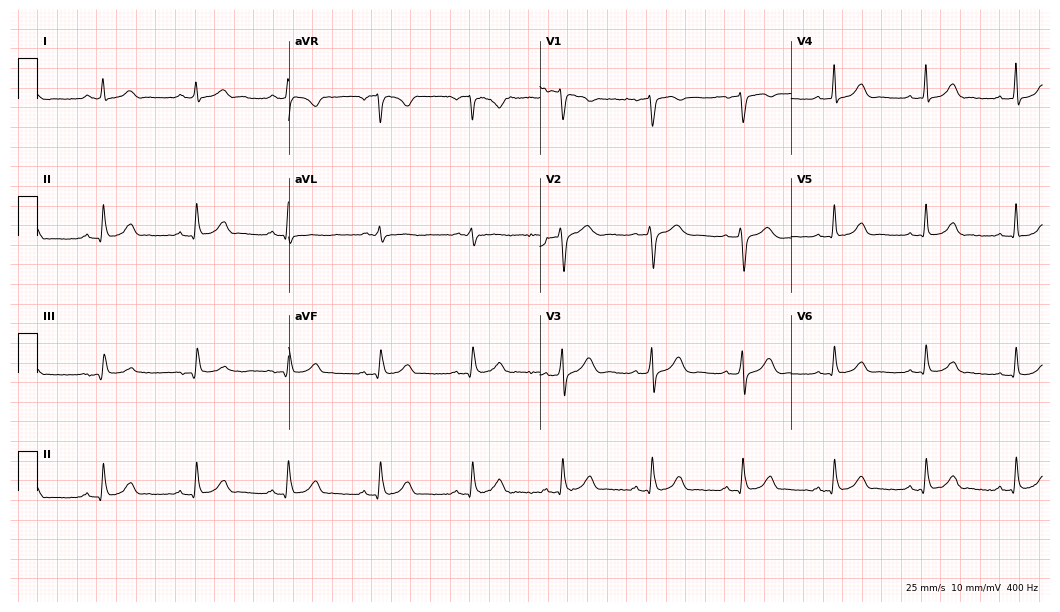
Standard 12-lead ECG recorded from a male, 60 years old (10.2-second recording at 400 Hz). None of these six findings is recorded: first-degree AV block, right bundle branch block (RBBB), left bundle branch block (LBBB), sinus bradycardia, atrial fibrillation (AF), sinus tachycardia. Findings outside these six are not listed.